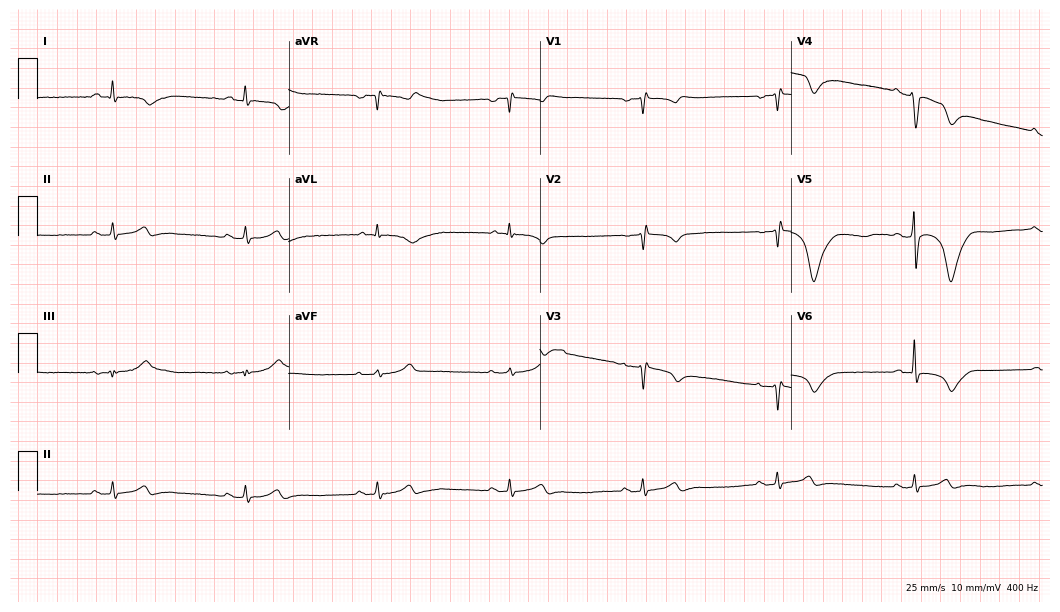
12-lead ECG from a man, 74 years old (10.2-second recording at 400 Hz). No first-degree AV block, right bundle branch block, left bundle branch block, sinus bradycardia, atrial fibrillation or sinus tachycardia recorded for this tracing.